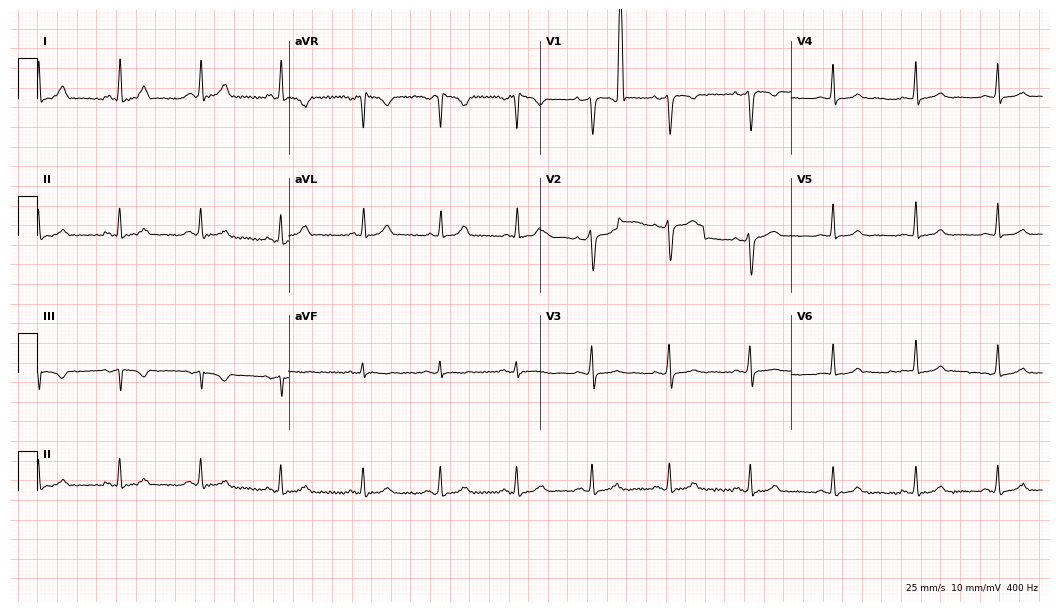
Resting 12-lead electrocardiogram (10.2-second recording at 400 Hz). Patient: a 33-year-old woman. Read as a normal ECG.